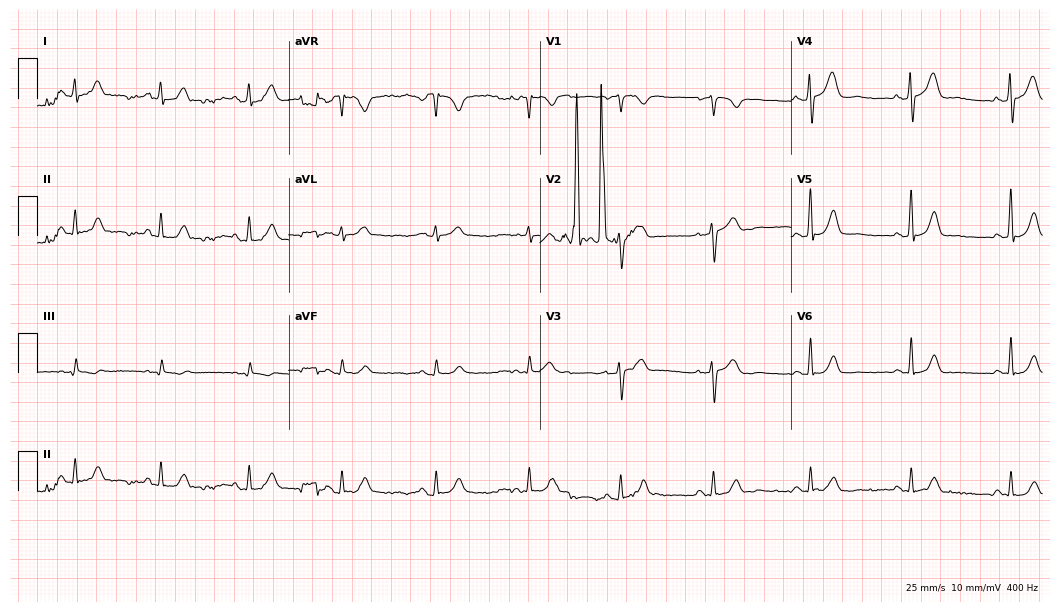
12-lead ECG (10.2-second recording at 400 Hz) from a woman, 49 years old. Labelled as a normal ECG.